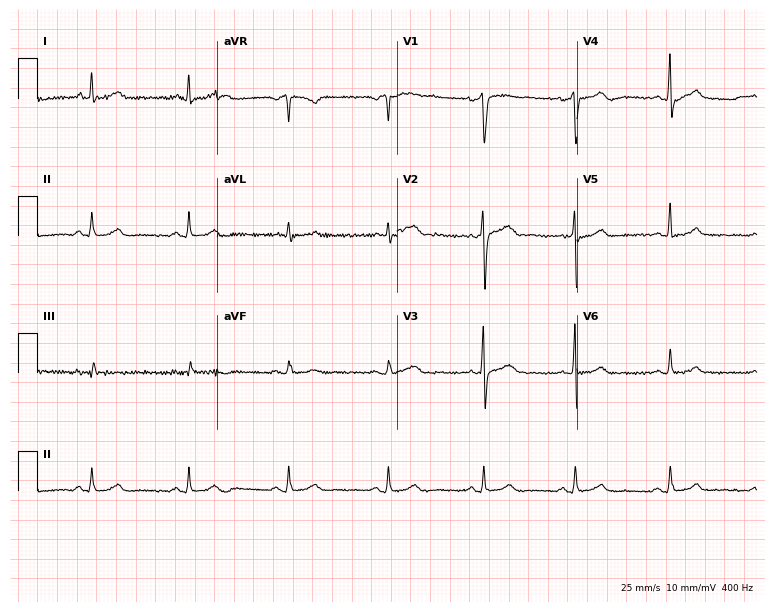
ECG (7.3-second recording at 400 Hz) — a 49-year-old male patient. Screened for six findings — first-degree AV block, right bundle branch block (RBBB), left bundle branch block (LBBB), sinus bradycardia, atrial fibrillation (AF), sinus tachycardia — none is recorded. Other findings, if any, are not listed.